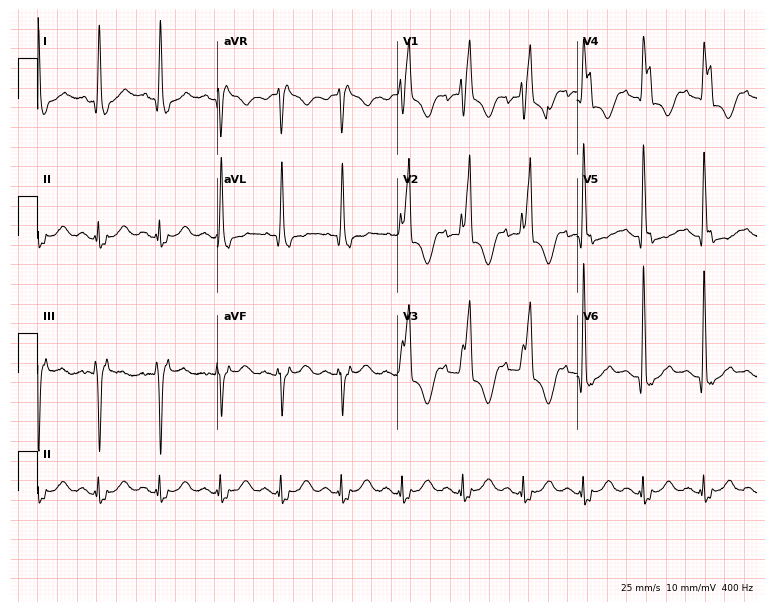
12-lead ECG from a 68-year-old female (7.3-second recording at 400 Hz). Shows right bundle branch block.